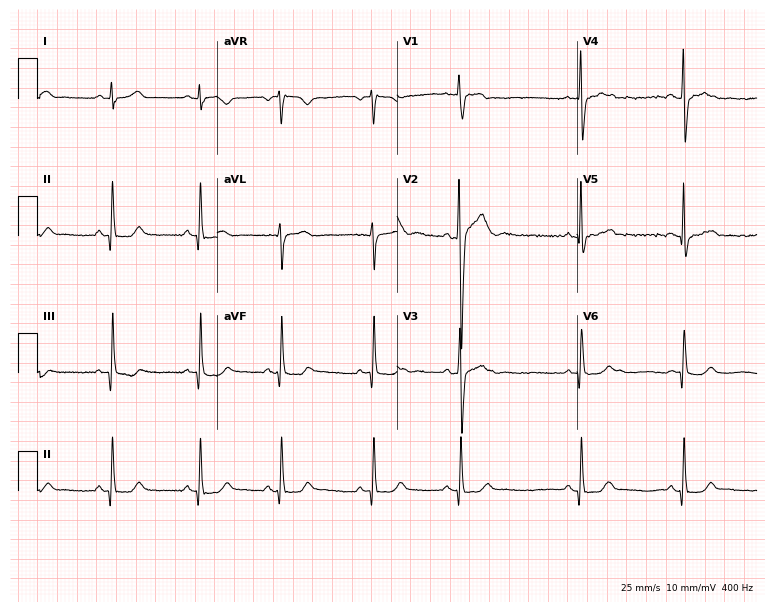
12-lead ECG from a man, 17 years old. Labelled as a normal ECG.